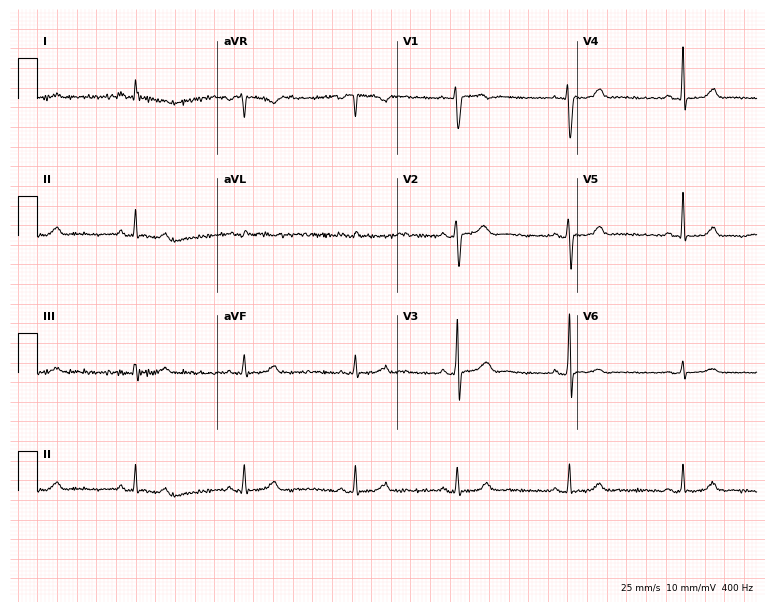
12-lead ECG from a 29-year-old female patient (7.3-second recording at 400 Hz). No first-degree AV block, right bundle branch block, left bundle branch block, sinus bradycardia, atrial fibrillation or sinus tachycardia recorded for this tracing. Other findings, if any, are not listed.